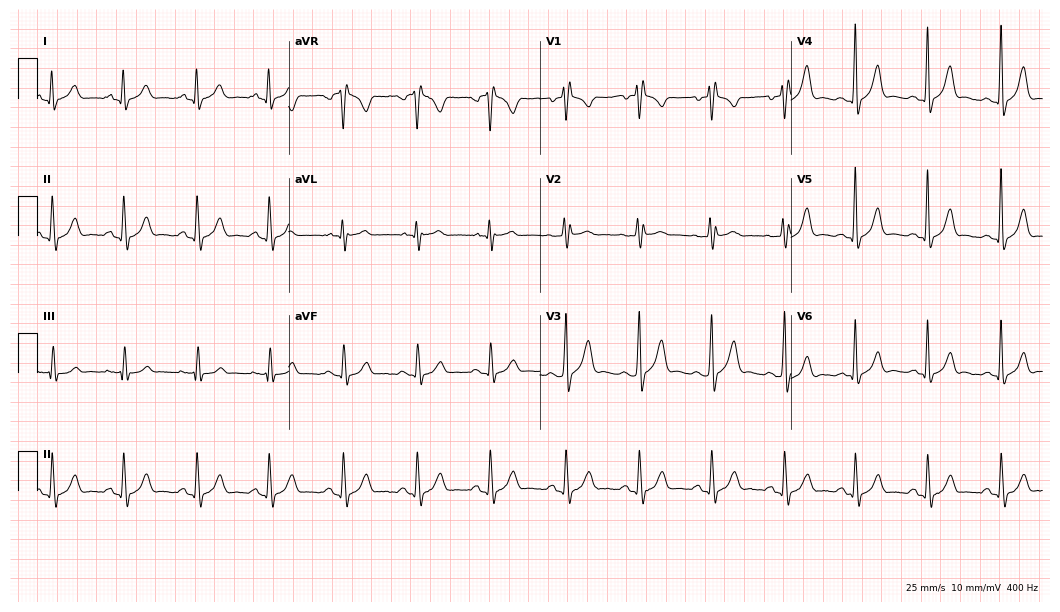
12-lead ECG from a 24-year-old female patient. Findings include right bundle branch block.